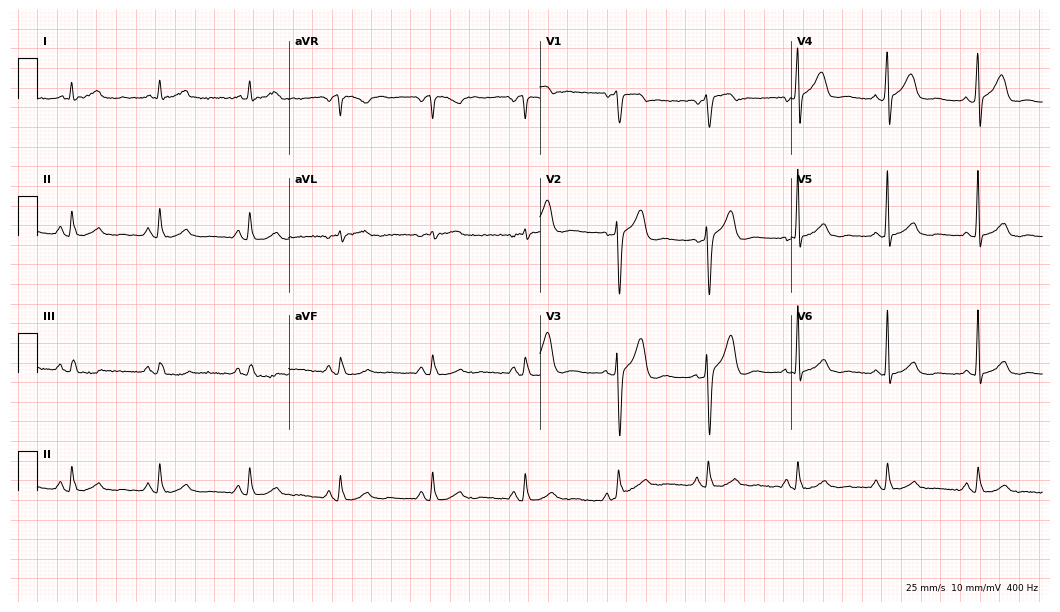
Standard 12-lead ECG recorded from a 61-year-old man. Read as a normal ECG.